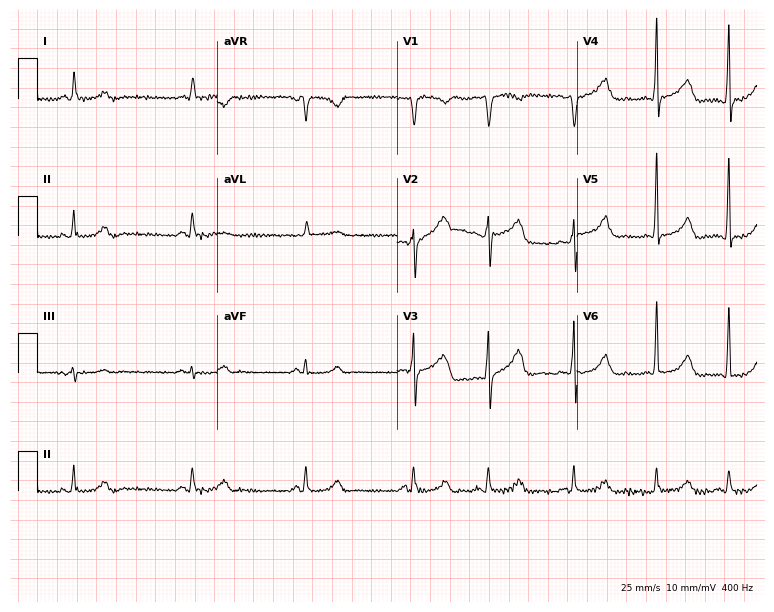
12-lead ECG from a male patient, 63 years old. No first-degree AV block, right bundle branch block, left bundle branch block, sinus bradycardia, atrial fibrillation or sinus tachycardia recorded for this tracing.